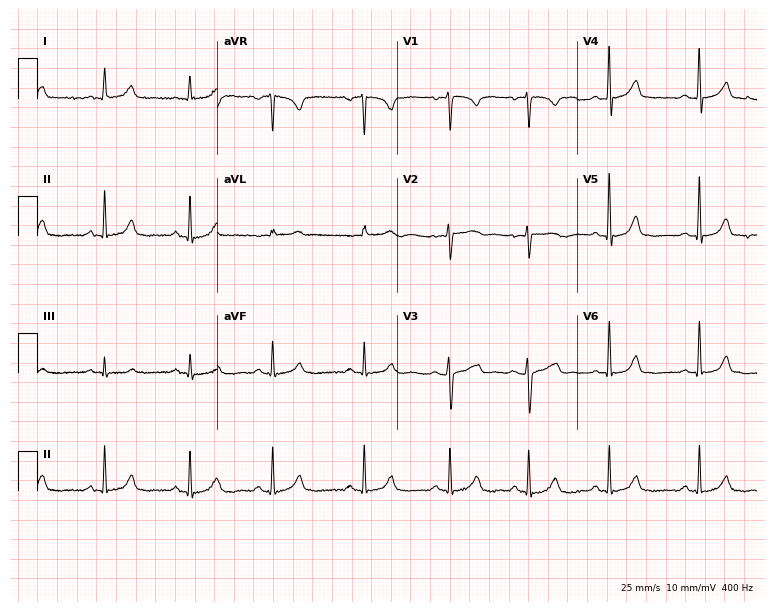
Electrocardiogram (7.3-second recording at 400 Hz), a 31-year-old woman. Overall reading on record: normal ECG.